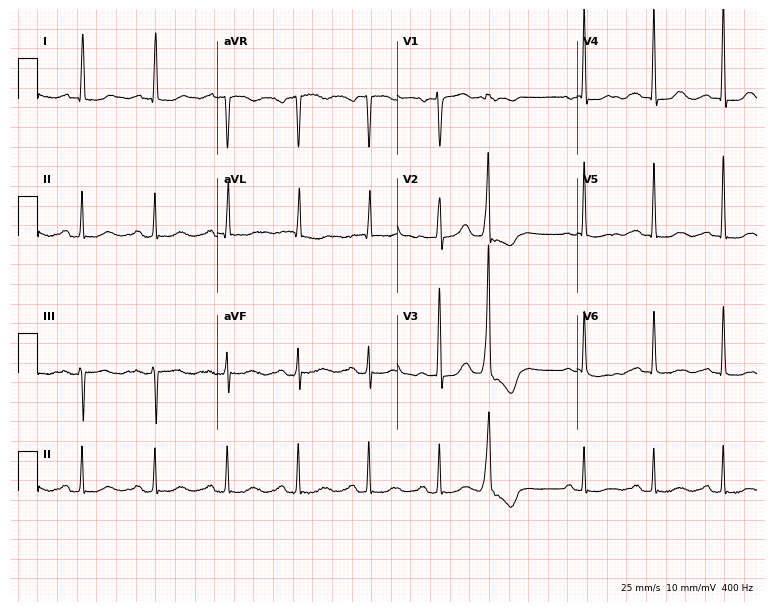
12-lead ECG (7.3-second recording at 400 Hz) from a female patient, 79 years old. Screened for six findings — first-degree AV block, right bundle branch block (RBBB), left bundle branch block (LBBB), sinus bradycardia, atrial fibrillation (AF), sinus tachycardia — none is recorded. Other findings, if any, are not listed.